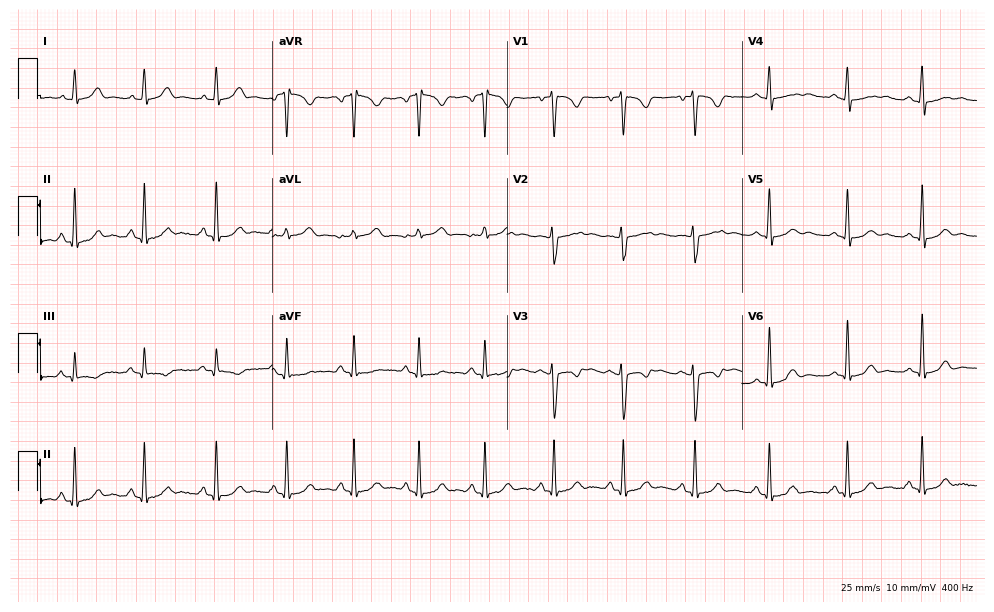
Standard 12-lead ECG recorded from a 24-year-old female patient. Read as a normal ECG.